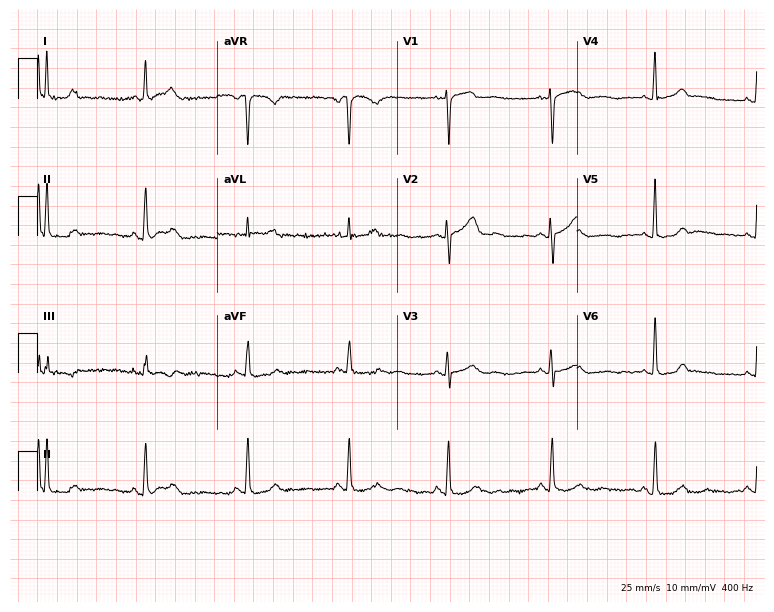
Standard 12-lead ECG recorded from a woman, 54 years old (7.3-second recording at 400 Hz). Read as a normal ECG.